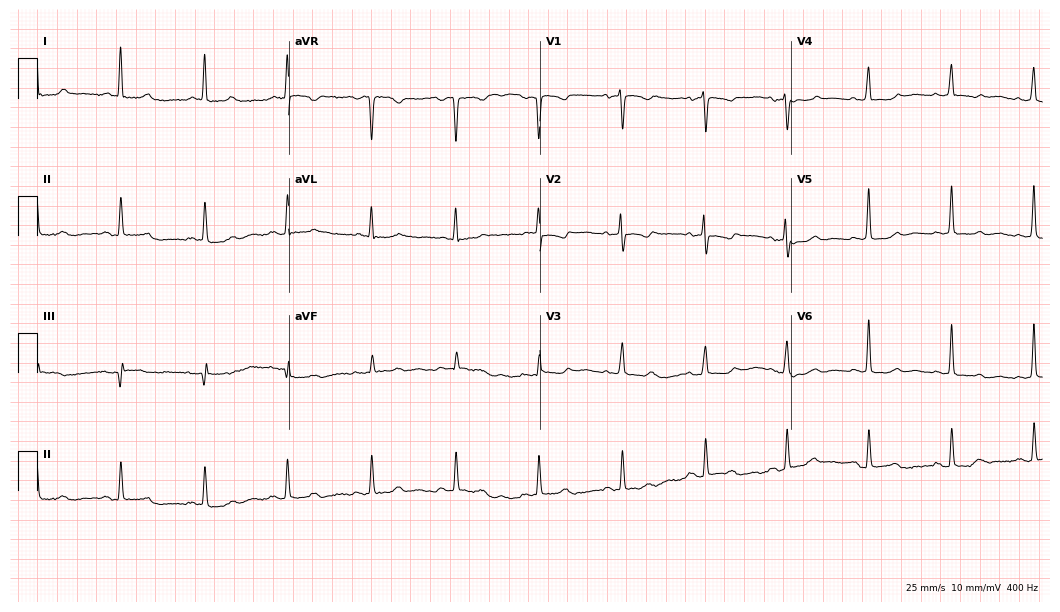
Resting 12-lead electrocardiogram (10.2-second recording at 400 Hz). Patient: a female, 60 years old. None of these six findings is recorded: first-degree AV block, right bundle branch block, left bundle branch block, sinus bradycardia, atrial fibrillation, sinus tachycardia.